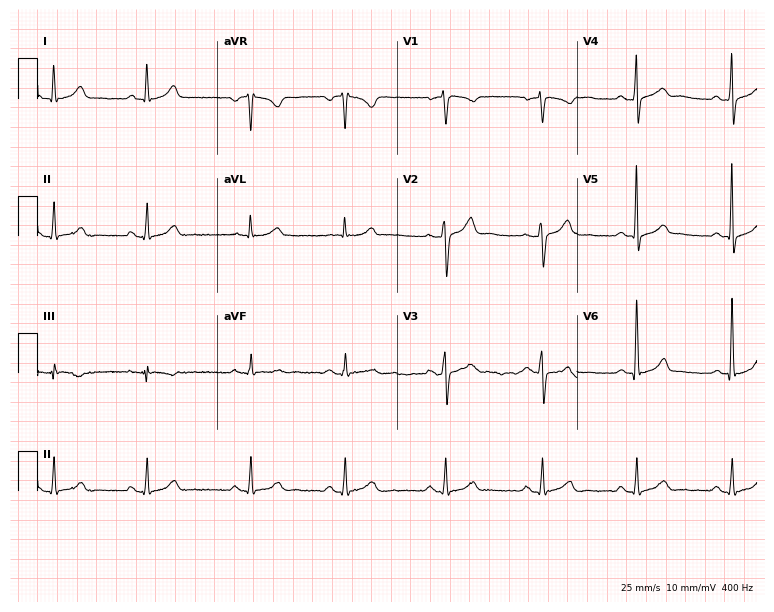
12-lead ECG (7.3-second recording at 400 Hz) from a 37-year-old male. Labelled as a normal ECG.